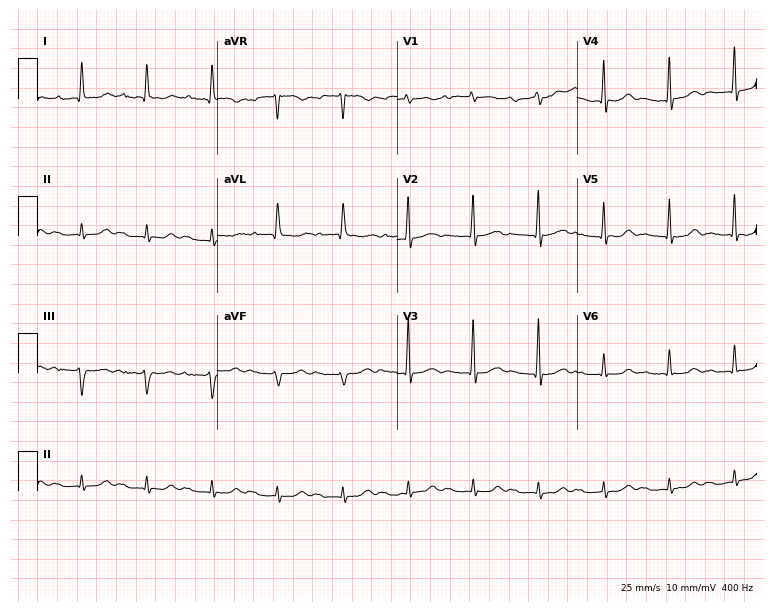
Electrocardiogram (7.3-second recording at 400 Hz), a male patient, 83 years old. Of the six screened findings (first-degree AV block, right bundle branch block, left bundle branch block, sinus bradycardia, atrial fibrillation, sinus tachycardia), none is recorded. Other findings, if any, are not listed.